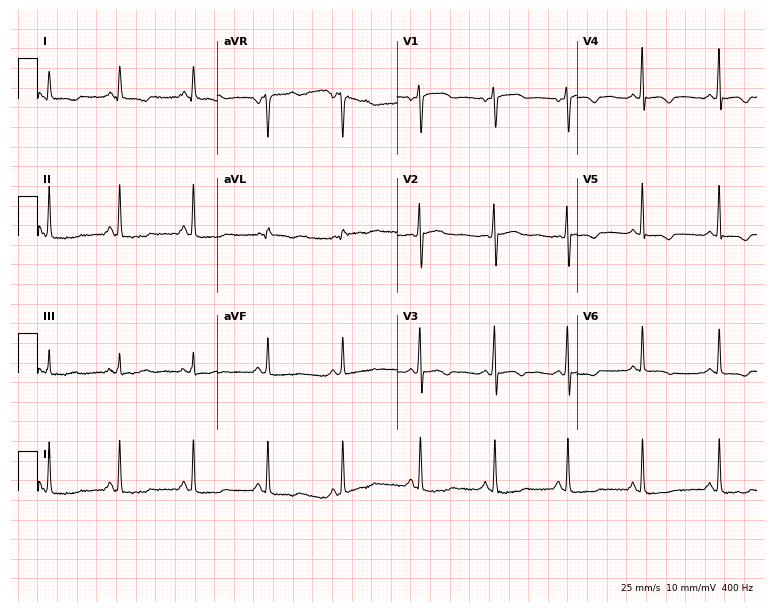
12-lead ECG from a 58-year-old woman. Recorded interpretation: within normal limits.